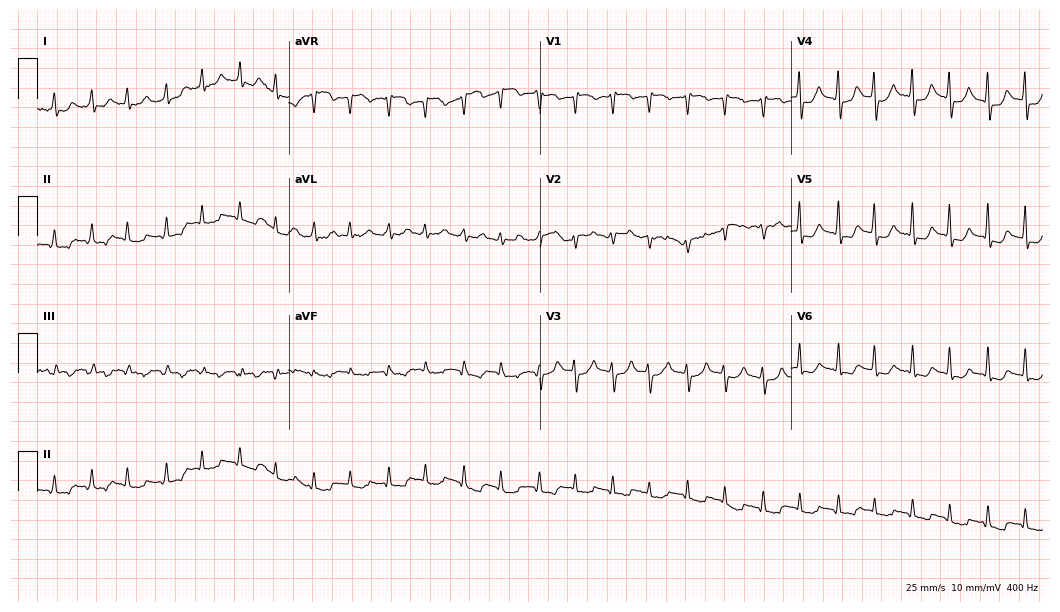
Resting 12-lead electrocardiogram. Patient: a woman, 79 years old. The tracing shows sinus tachycardia (a sinus rate of 100 beats per minute or more).